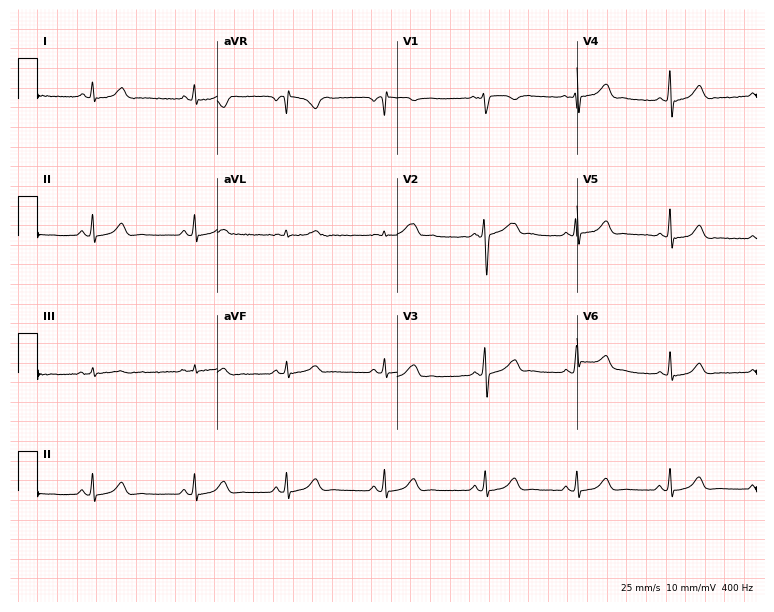
Resting 12-lead electrocardiogram (7.3-second recording at 400 Hz). Patient: a 28-year-old woman. None of these six findings is recorded: first-degree AV block, right bundle branch block, left bundle branch block, sinus bradycardia, atrial fibrillation, sinus tachycardia.